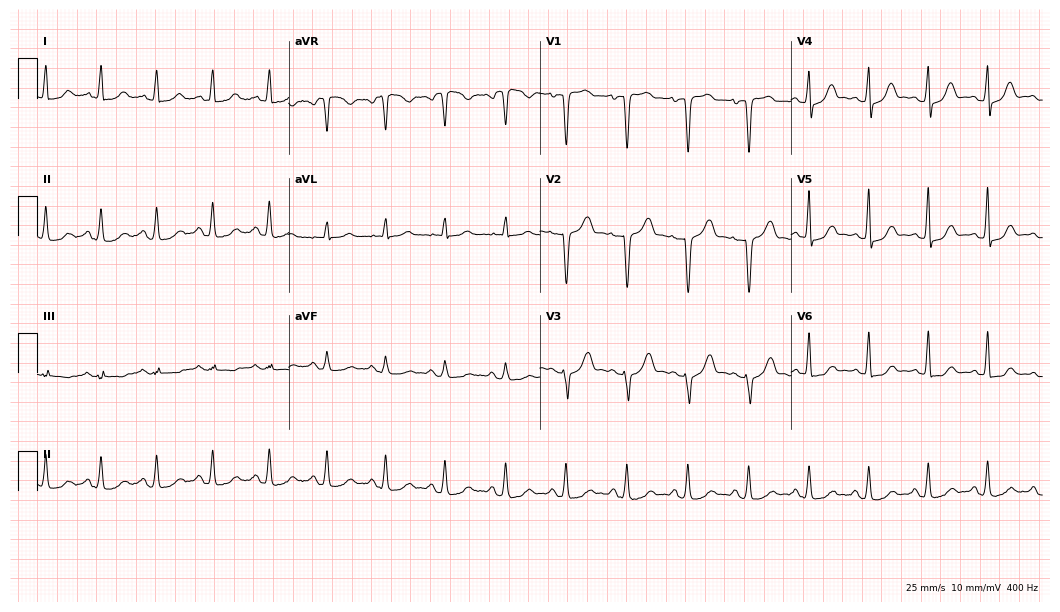
12-lead ECG (10.2-second recording at 400 Hz) from a 51-year-old woman. Screened for six findings — first-degree AV block, right bundle branch block, left bundle branch block, sinus bradycardia, atrial fibrillation, sinus tachycardia — none is recorded. Findings outside these six are not listed.